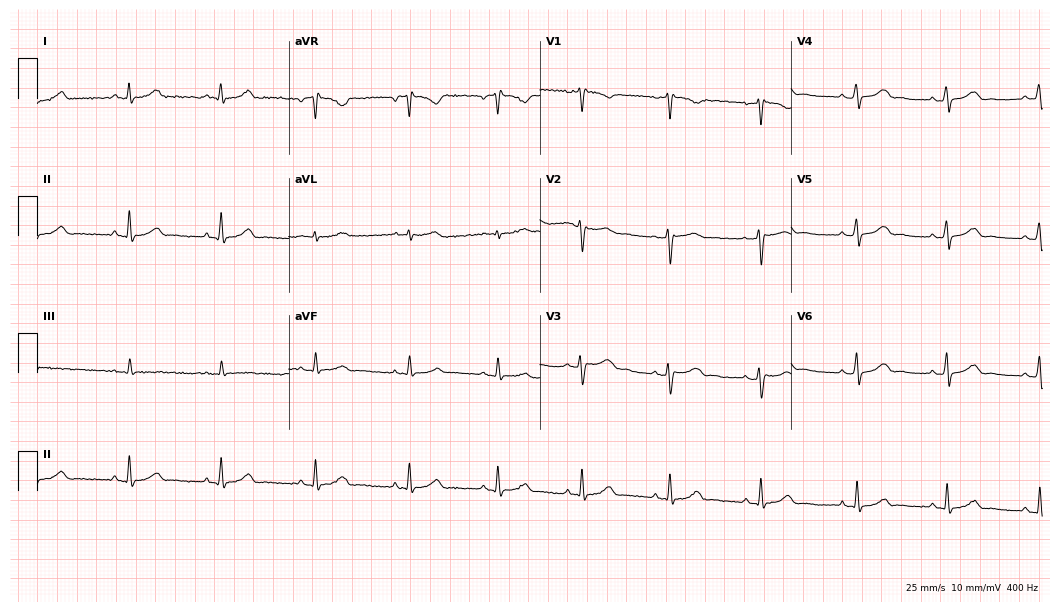
12-lead ECG (10.2-second recording at 400 Hz) from a female patient, 43 years old. Labelled as a normal ECG.